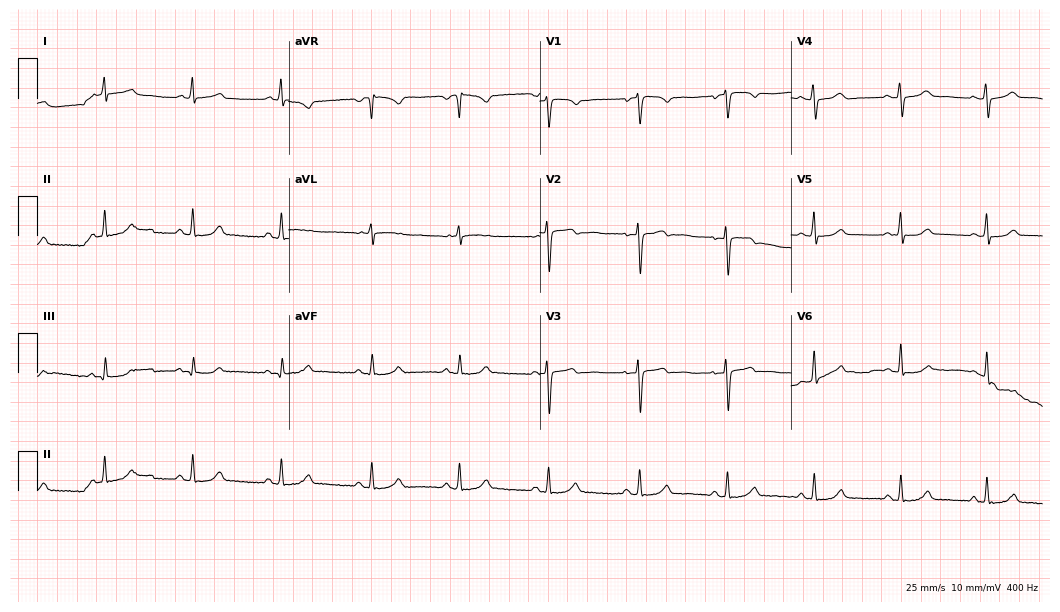
12-lead ECG from a 46-year-old woman. Recorded interpretation: within normal limits.